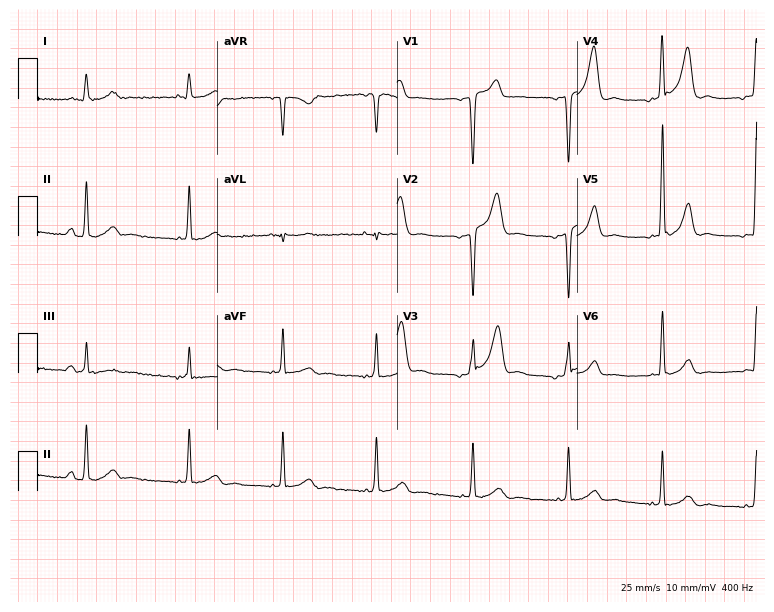
12-lead ECG from a male, 62 years old. Screened for six findings — first-degree AV block, right bundle branch block, left bundle branch block, sinus bradycardia, atrial fibrillation, sinus tachycardia — none is recorded.